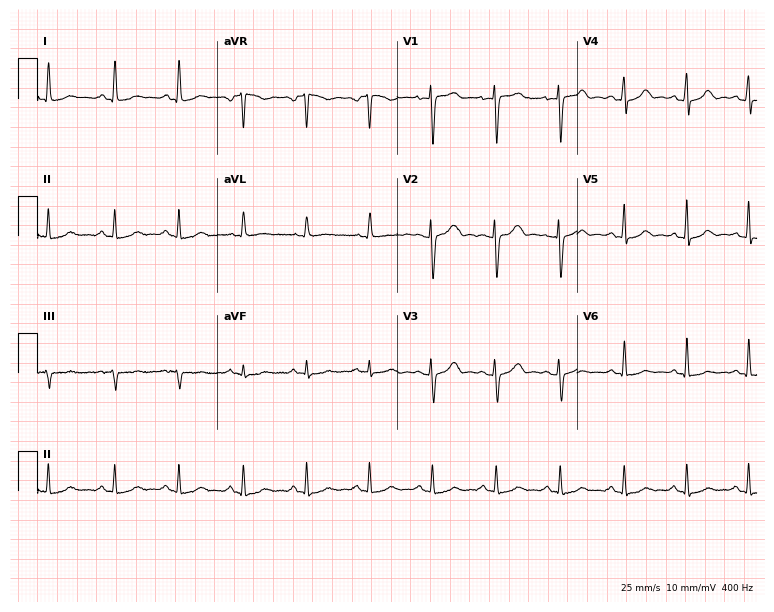
Standard 12-lead ECG recorded from a 34-year-old female. Read as a normal ECG.